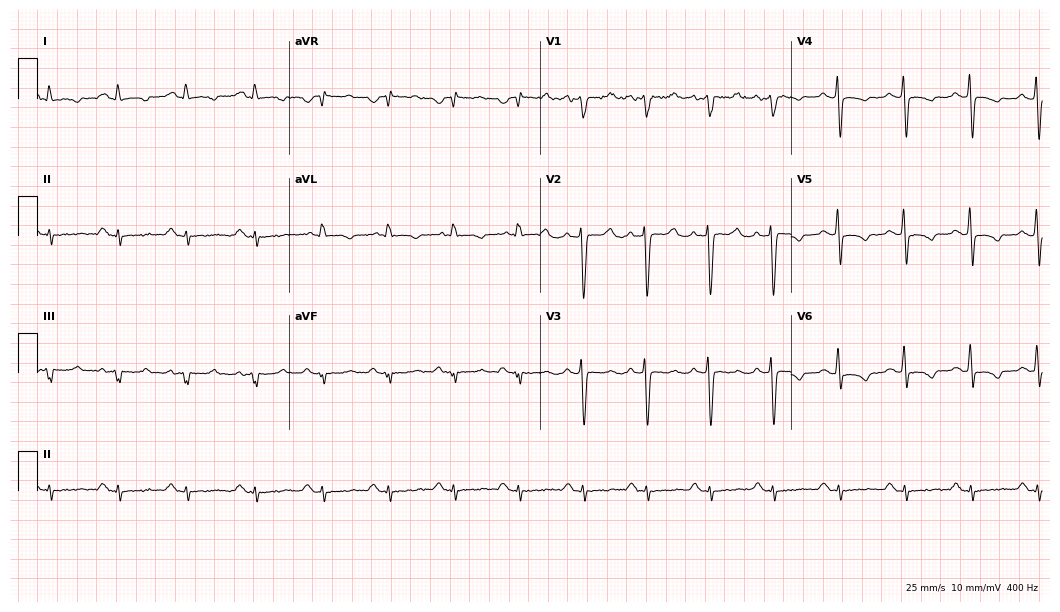
12-lead ECG from a 36-year-old male (10.2-second recording at 400 Hz). No first-degree AV block, right bundle branch block (RBBB), left bundle branch block (LBBB), sinus bradycardia, atrial fibrillation (AF) or sinus tachycardia recorded for this tracing.